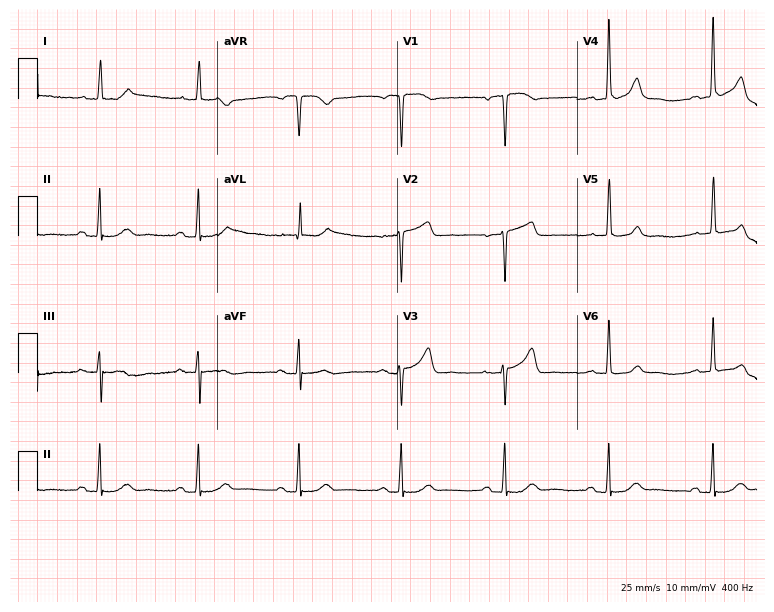
ECG — a female patient, 78 years old. Labelled as a normal ECG.